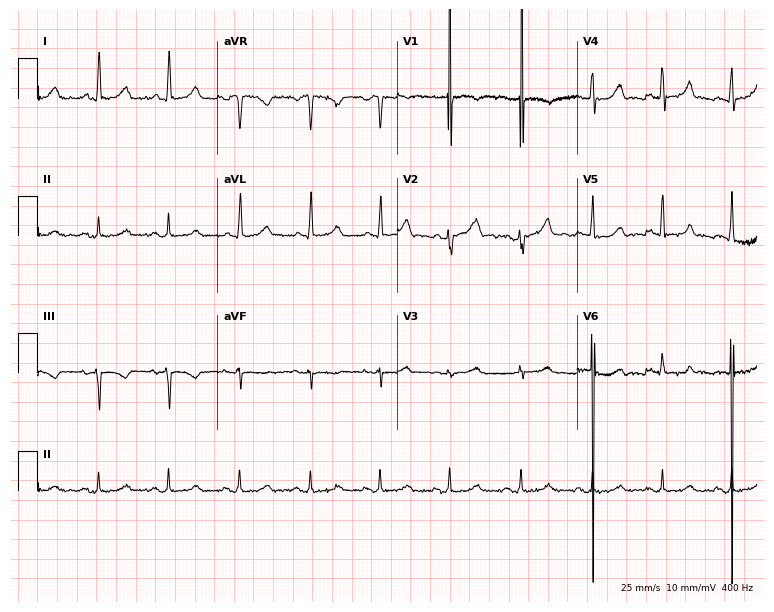
12-lead ECG from a 53-year-old female. Labelled as a normal ECG.